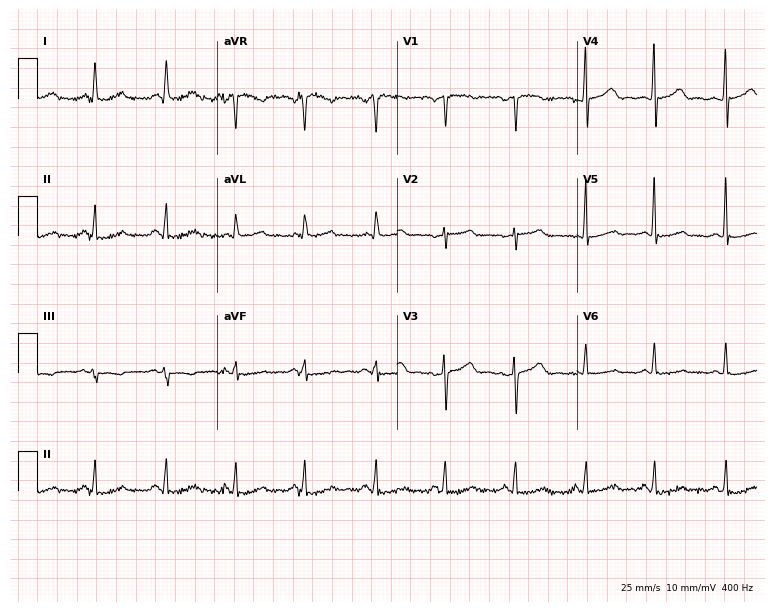
12-lead ECG from a 42-year-old female (7.3-second recording at 400 Hz). Recorded interpretation: within normal limits.